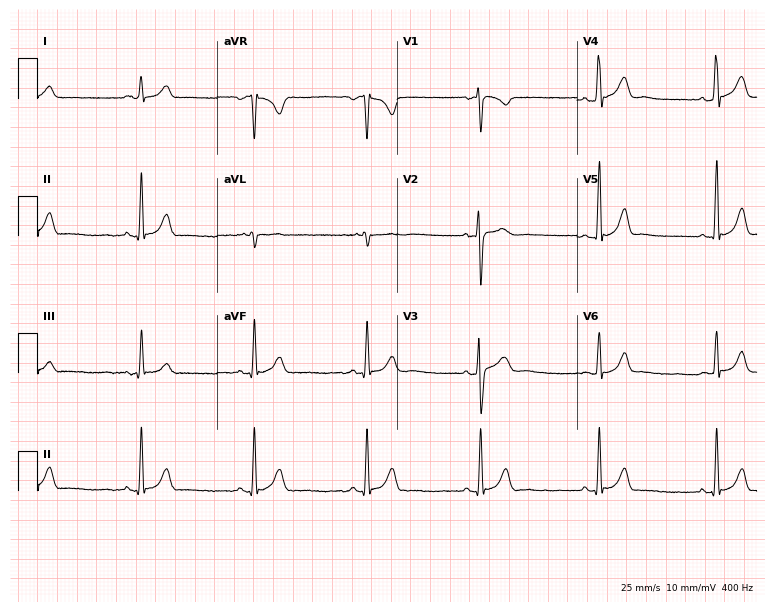
Standard 12-lead ECG recorded from a 26-year-old female patient. Read as a normal ECG.